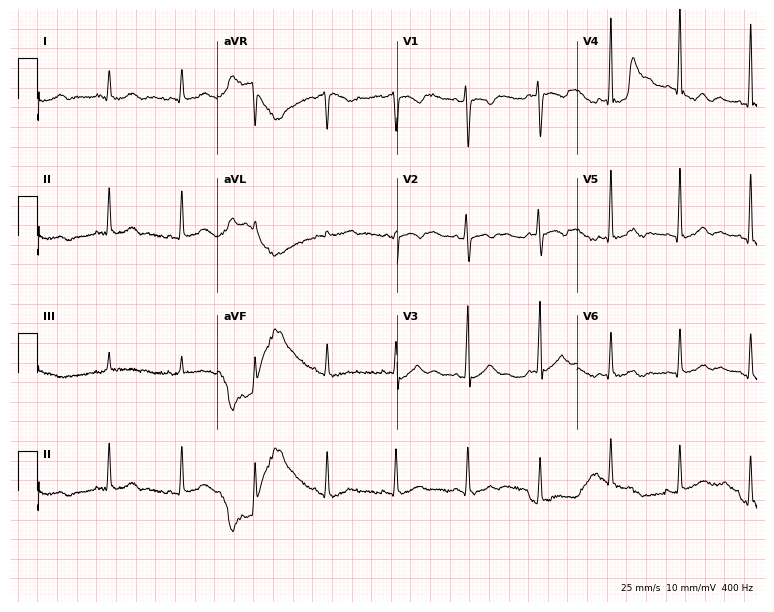
12-lead ECG from a male patient, 28 years old (7.3-second recording at 400 Hz). No first-degree AV block, right bundle branch block, left bundle branch block, sinus bradycardia, atrial fibrillation or sinus tachycardia recorded for this tracing. Only these six findings were labelled.